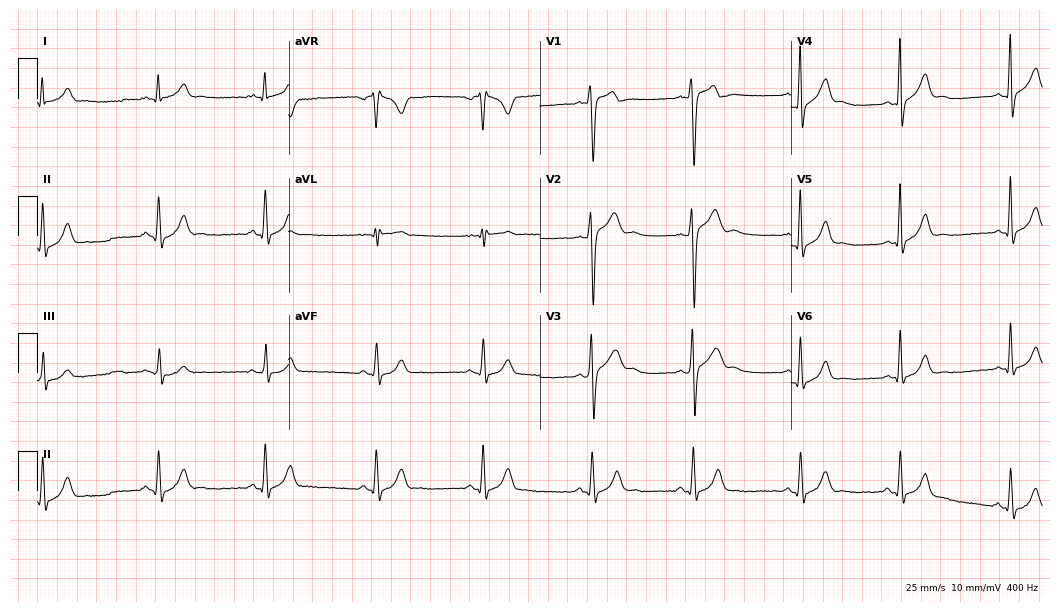
Electrocardiogram (10.2-second recording at 400 Hz), a man, 20 years old. Of the six screened findings (first-degree AV block, right bundle branch block, left bundle branch block, sinus bradycardia, atrial fibrillation, sinus tachycardia), none is recorded.